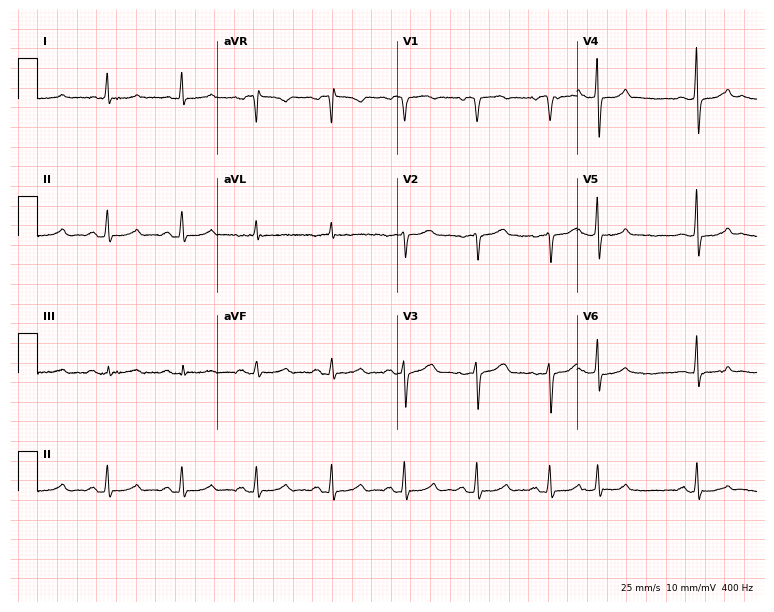
ECG (7.3-second recording at 400 Hz) — a female, 72 years old. Labelled as a normal ECG.